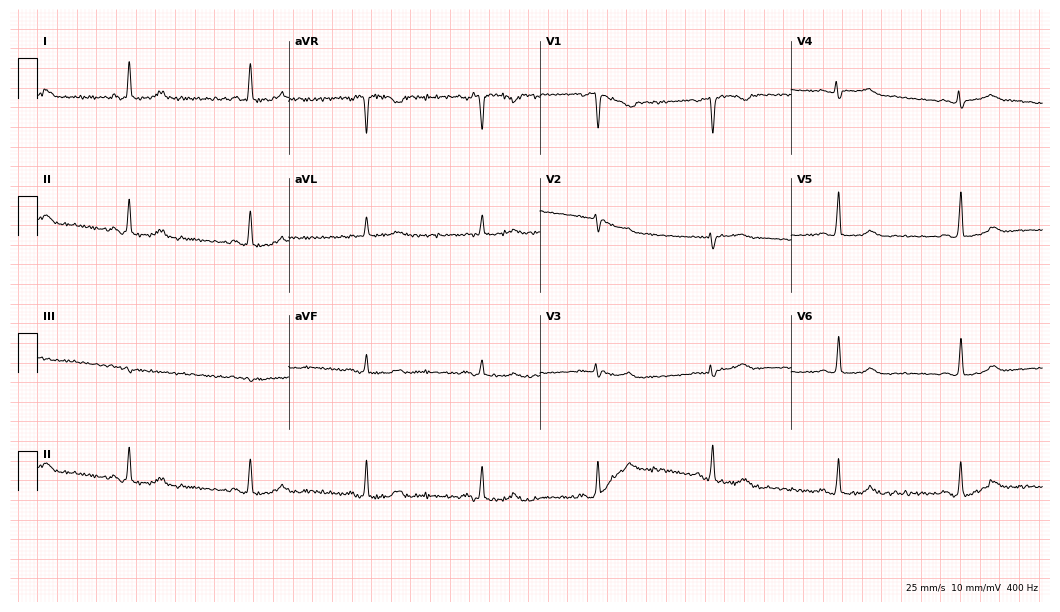
12-lead ECG from a female patient, 56 years old (10.2-second recording at 400 Hz). No first-degree AV block, right bundle branch block, left bundle branch block, sinus bradycardia, atrial fibrillation or sinus tachycardia recorded for this tracing. Only these six findings were labelled.